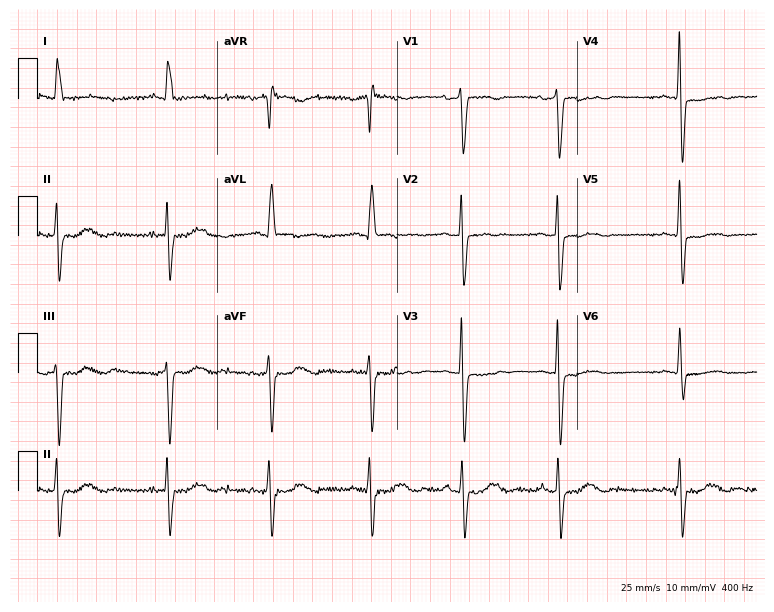
12-lead ECG from a female patient, 67 years old. Screened for six findings — first-degree AV block, right bundle branch block, left bundle branch block, sinus bradycardia, atrial fibrillation, sinus tachycardia — none is recorded. Only these six findings were labelled.